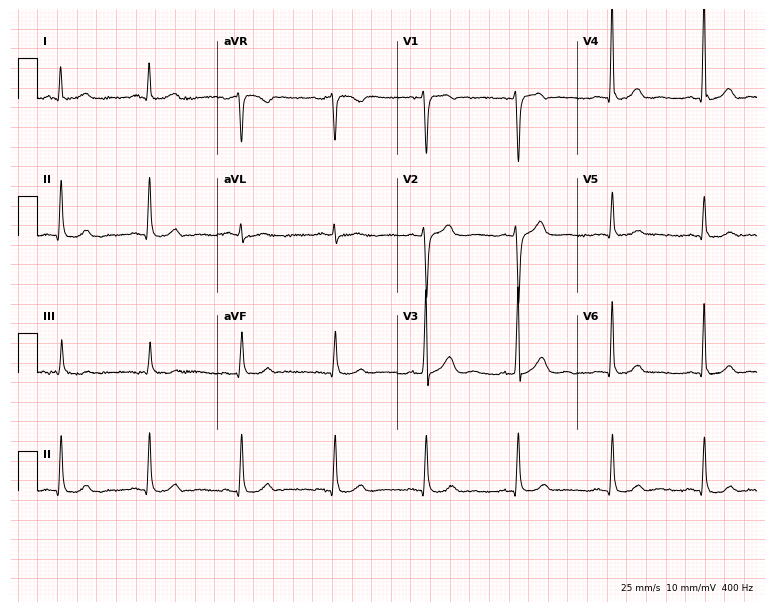
12-lead ECG from a 59-year-old male patient (7.3-second recording at 400 Hz). No first-degree AV block, right bundle branch block, left bundle branch block, sinus bradycardia, atrial fibrillation or sinus tachycardia recorded for this tracing.